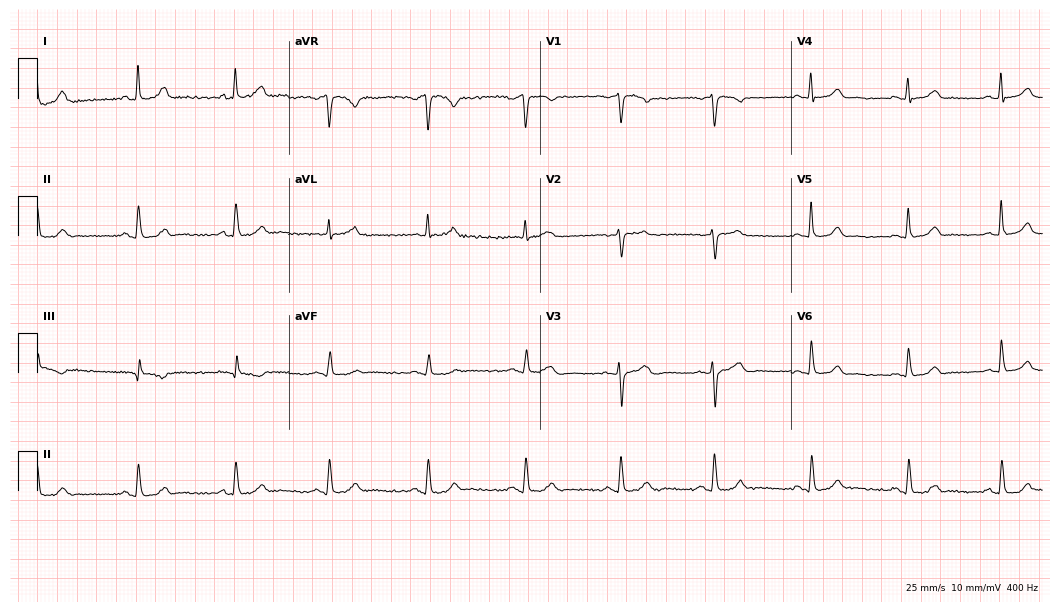
Standard 12-lead ECG recorded from a female, 55 years old (10.2-second recording at 400 Hz). Read as a normal ECG.